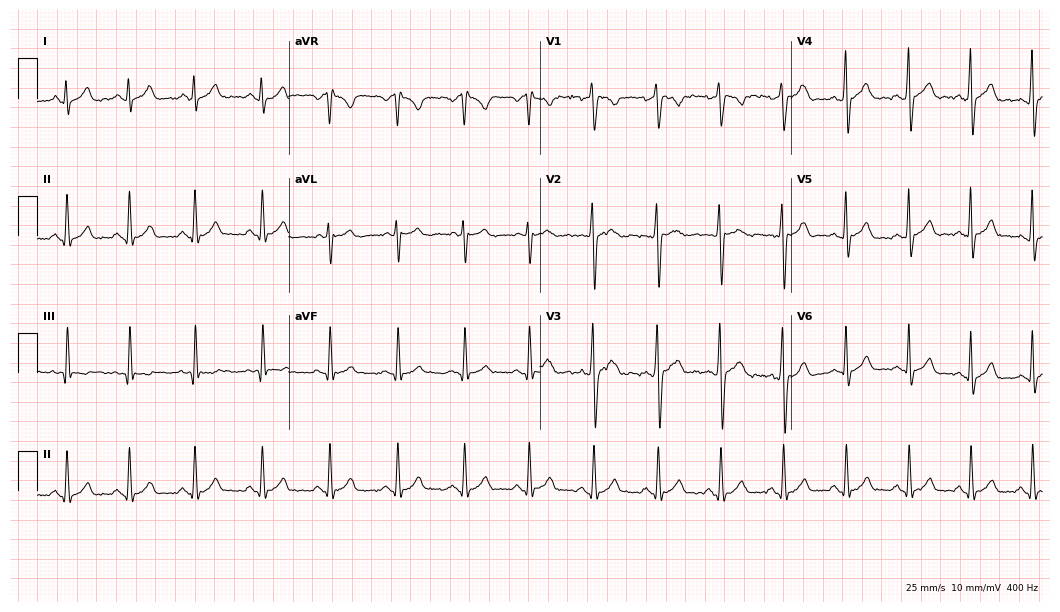
Resting 12-lead electrocardiogram. Patient: a male, 18 years old. Read as a normal ECG.